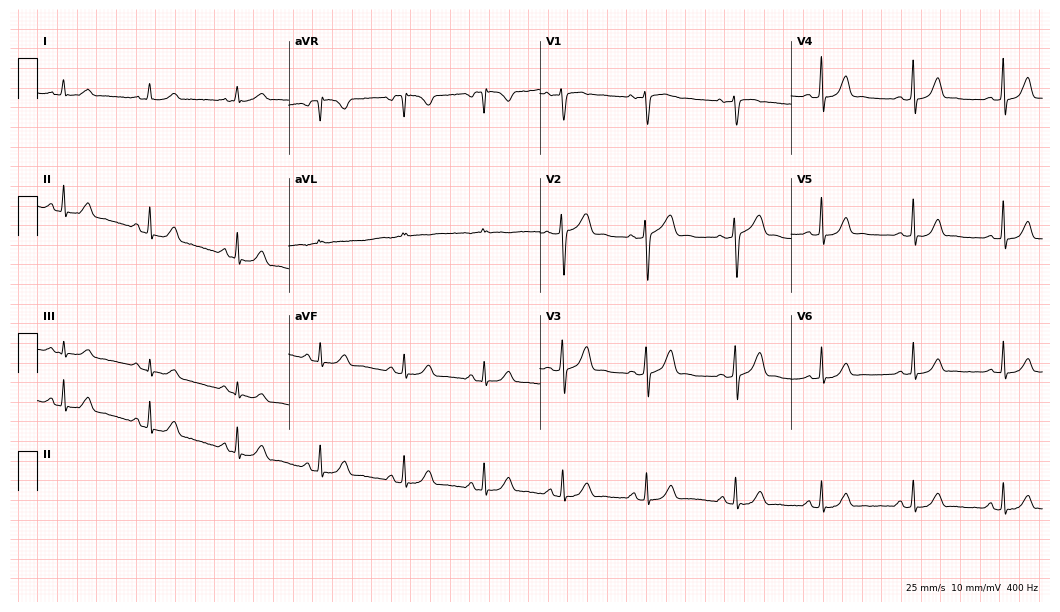
12-lead ECG from a female, 29 years old (10.2-second recording at 400 Hz). Recorded interpretation: within normal limits.